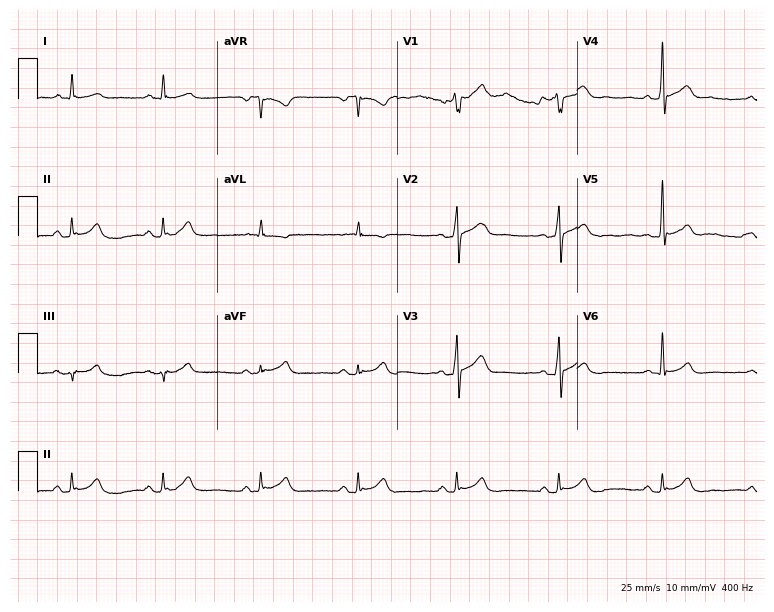
12-lead ECG (7.3-second recording at 400 Hz) from a man, 42 years old. Labelled as a normal ECG.